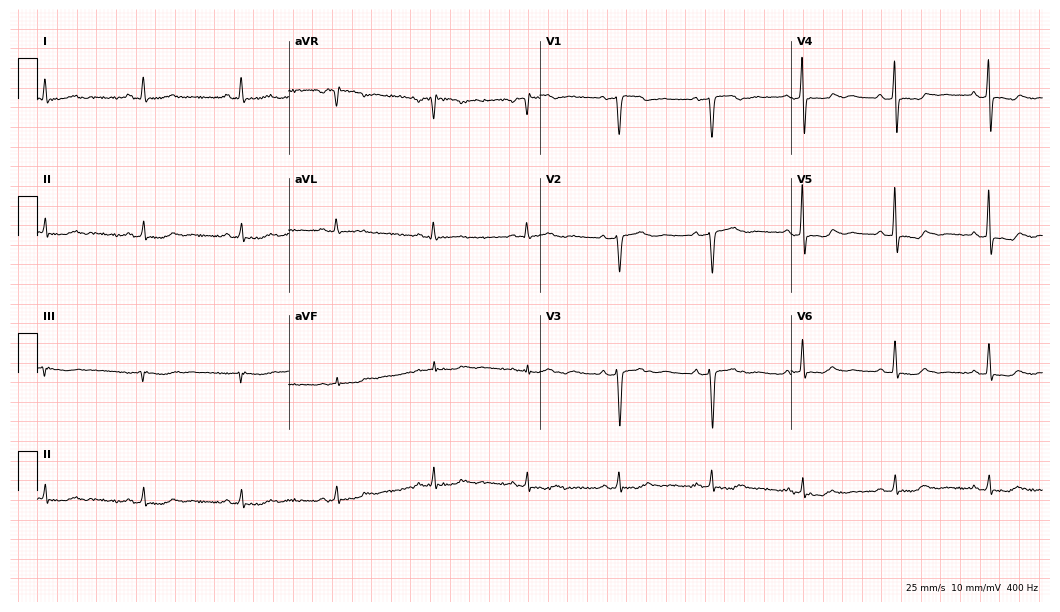
ECG (10.2-second recording at 400 Hz) — a 57-year-old woman. Screened for six findings — first-degree AV block, right bundle branch block, left bundle branch block, sinus bradycardia, atrial fibrillation, sinus tachycardia — none is recorded. Findings outside these six are not listed.